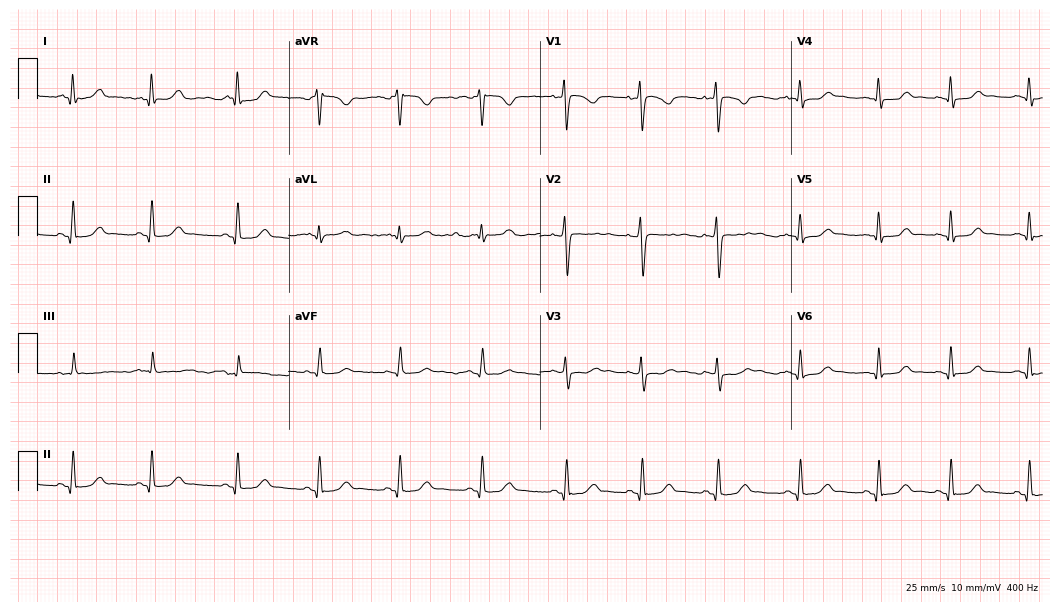
ECG (10.2-second recording at 400 Hz) — a 33-year-old female. Labelled as a normal ECG.